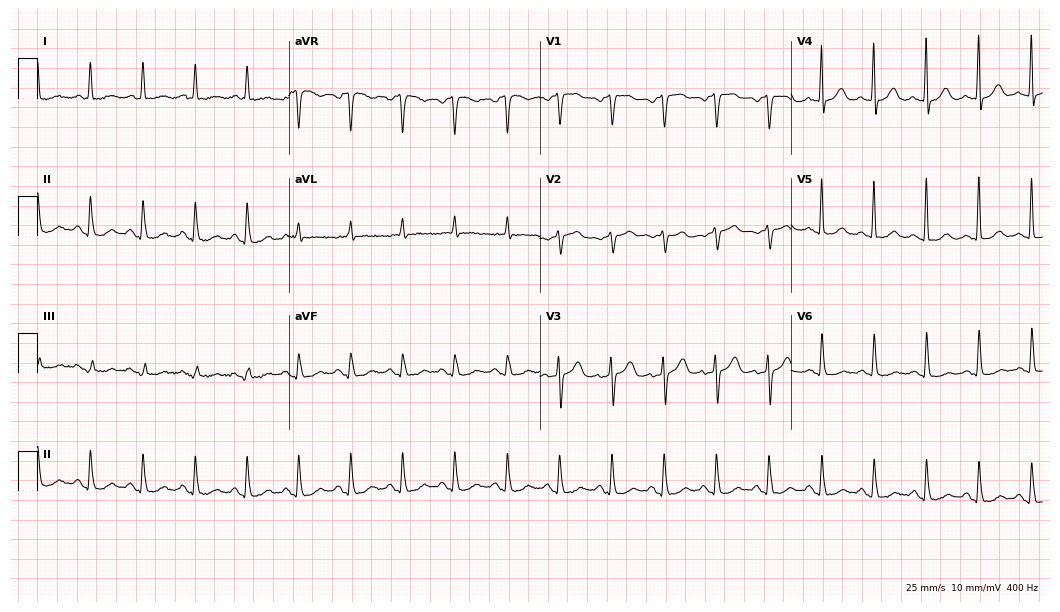
Standard 12-lead ECG recorded from a 70-year-old female patient (10.2-second recording at 400 Hz). The tracing shows sinus tachycardia (a sinus rate of 100 beats per minute or more).